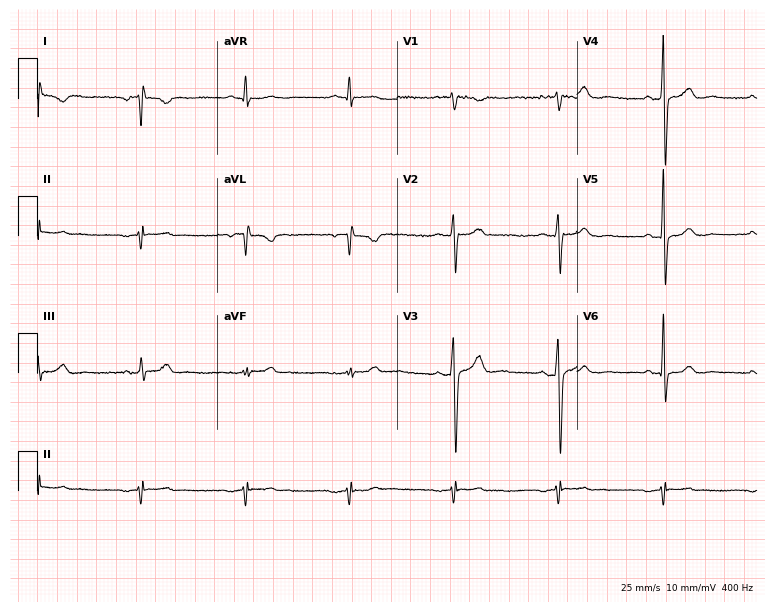
Electrocardiogram (7.3-second recording at 400 Hz), a male, 48 years old. Overall reading on record: normal ECG.